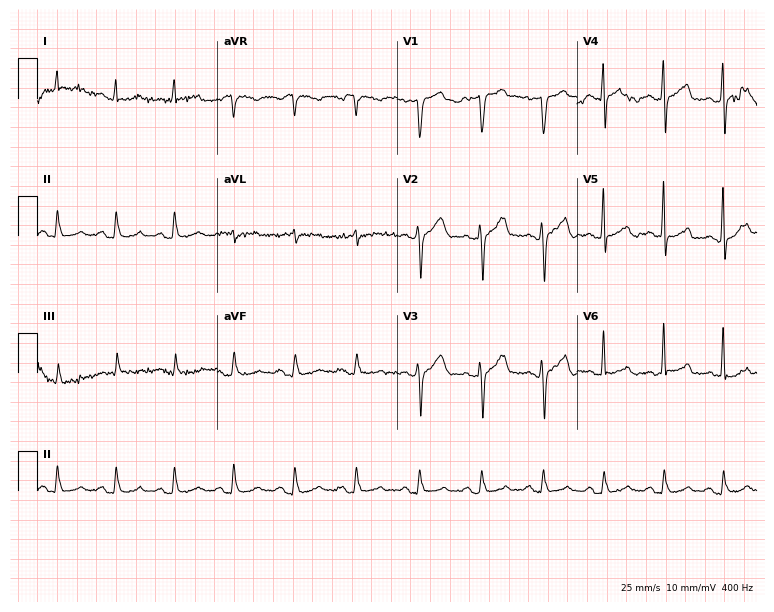
12-lead ECG from a male patient, 39 years old. Screened for six findings — first-degree AV block, right bundle branch block, left bundle branch block, sinus bradycardia, atrial fibrillation, sinus tachycardia — none is recorded. Other findings, if any, are not listed.